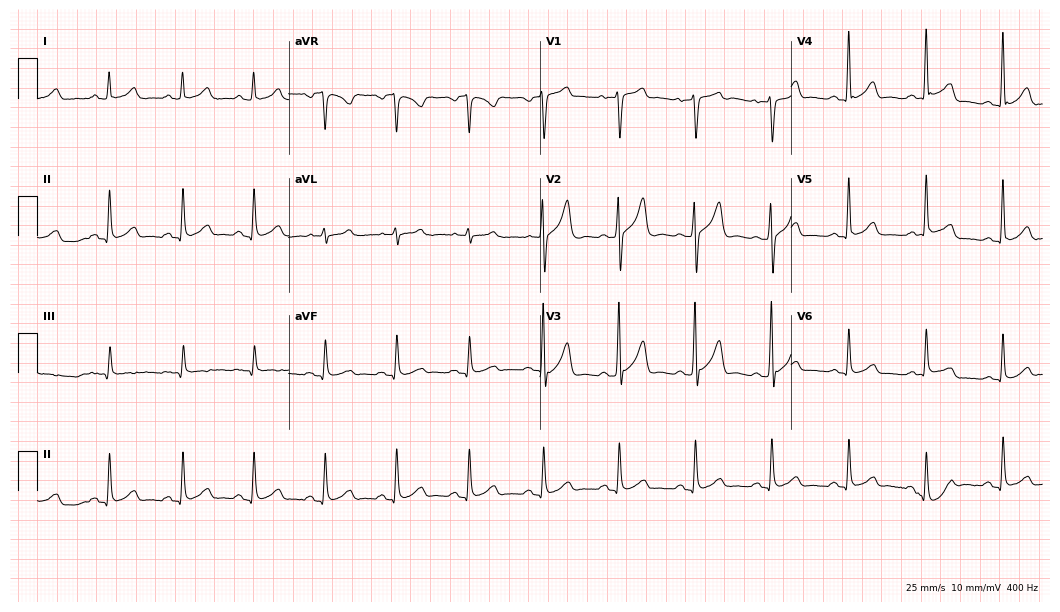
ECG (10.2-second recording at 400 Hz) — a 66-year-old male. Labelled as a normal ECG.